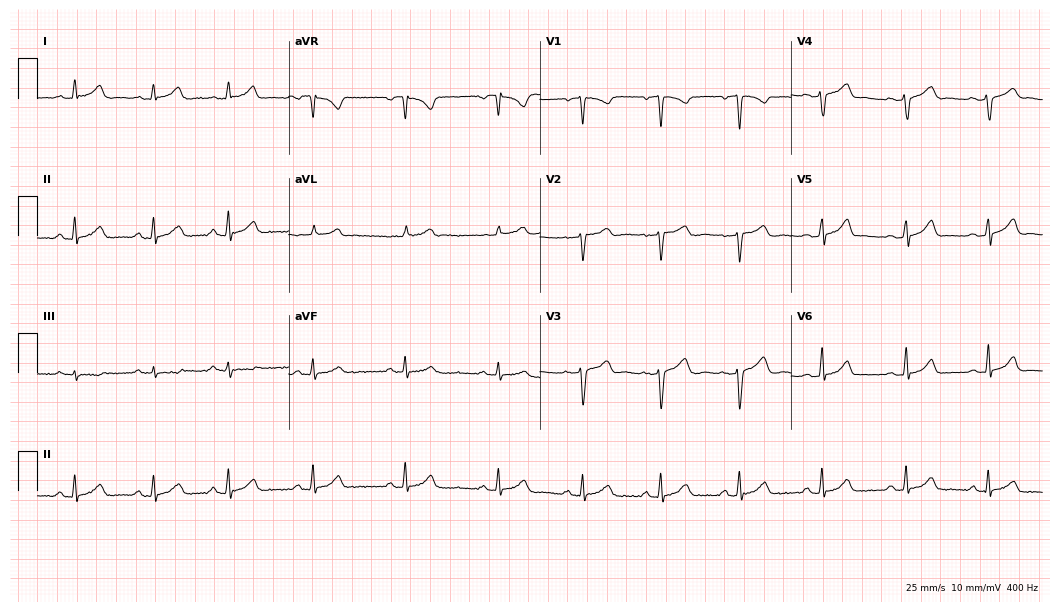
Resting 12-lead electrocardiogram. Patient: a 38-year-old woman. None of these six findings is recorded: first-degree AV block, right bundle branch block (RBBB), left bundle branch block (LBBB), sinus bradycardia, atrial fibrillation (AF), sinus tachycardia.